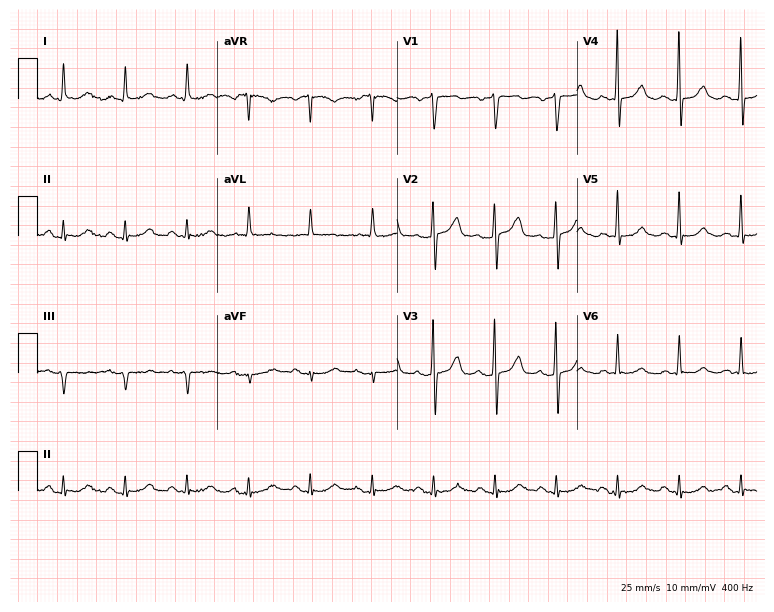
ECG — an 81-year-old man. Labelled as a normal ECG.